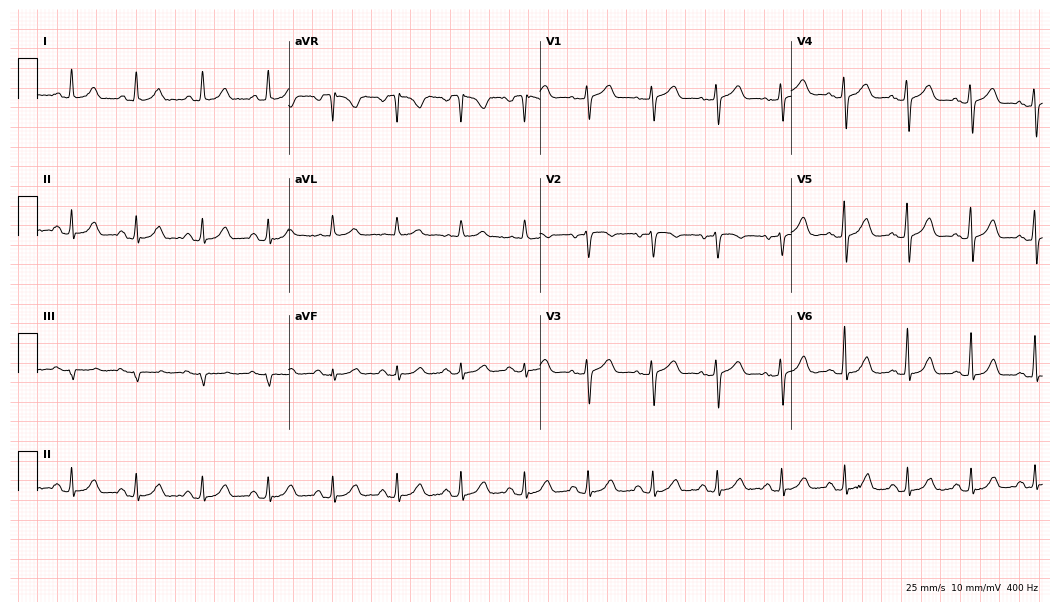
Electrocardiogram, a 79-year-old female patient. Overall reading on record: normal ECG.